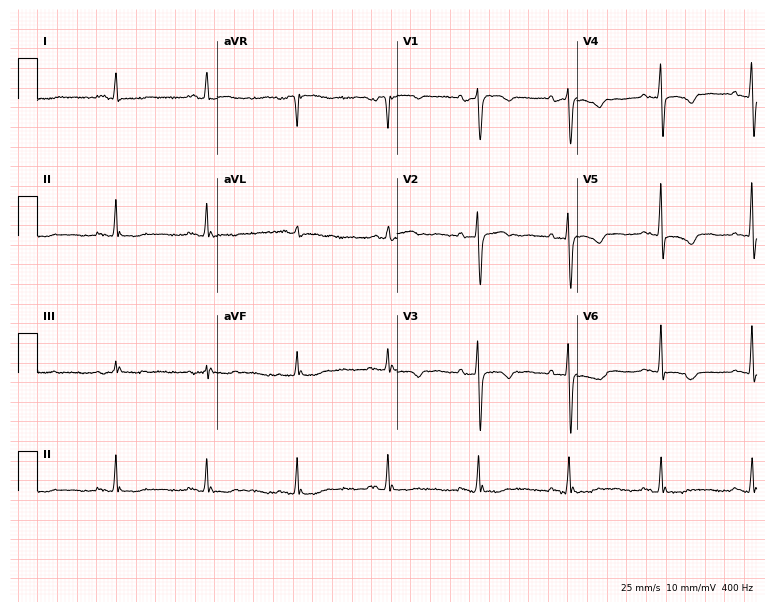
Resting 12-lead electrocardiogram. Patient: a 68-year-old female. None of these six findings is recorded: first-degree AV block, right bundle branch block, left bundle branch block, sinus bradycardia, atrial fibrillation, sinus tachycardia.